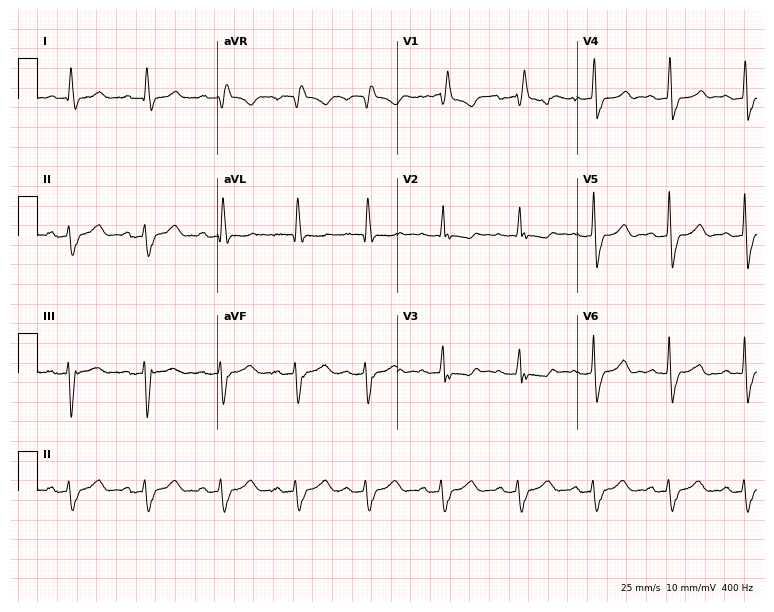
Electrocardiogram (7.3-second recording at 400 Hz), a woman, 74 years old. Interpretation includes right bundle branch block (RBBB).